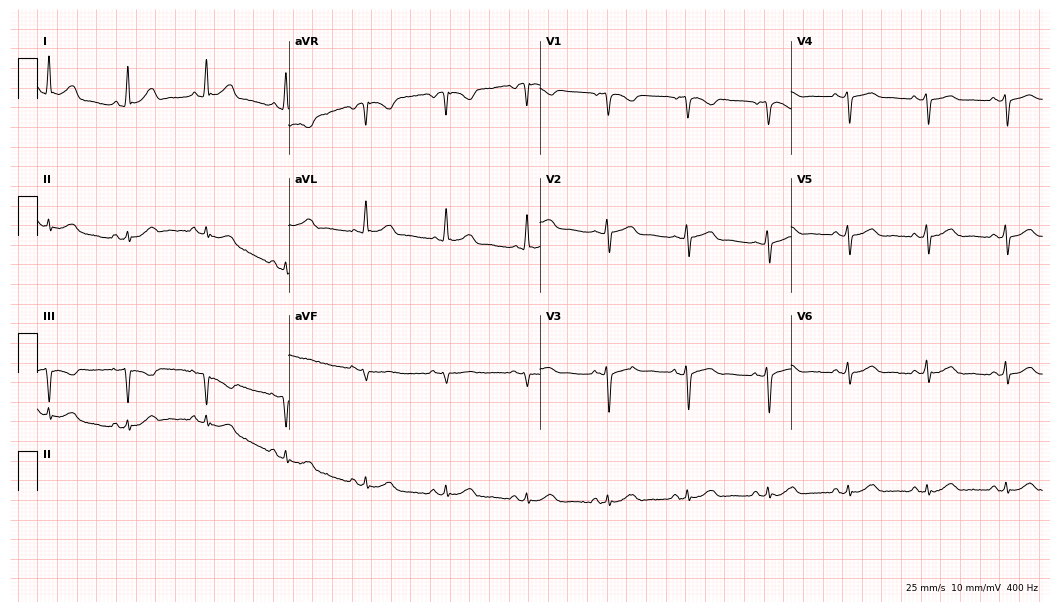
Resting 12-lead electrocardiogram (10.2-second recording at 400 Hz). Patient: a woman, 63 years old. Read as a normal ECG.